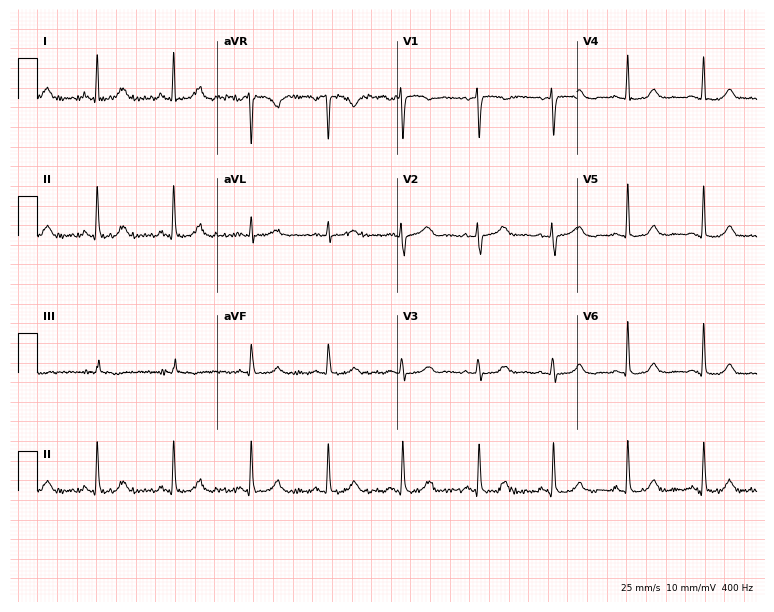
Standard 12-lead ECG recorded from a 46-year-old female. Read as a normal ECG.